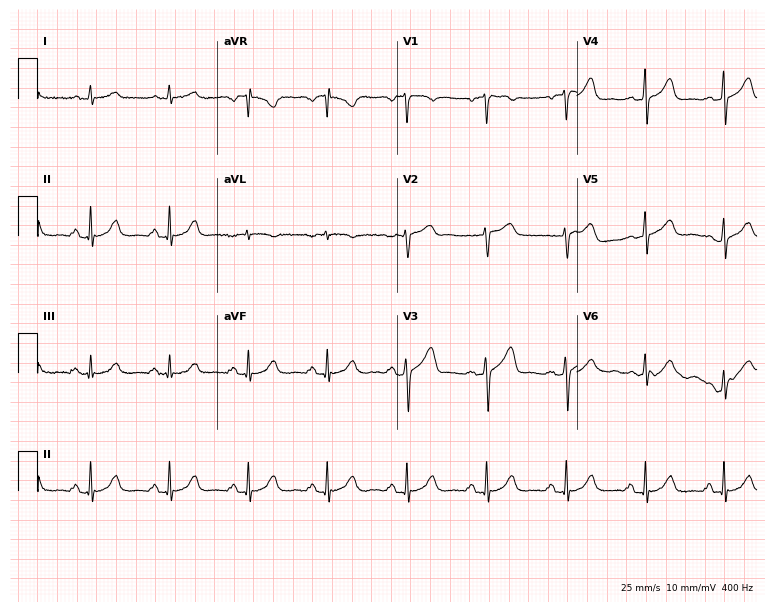
Electrocardiogram, a 56-year-old male. Overall reading on record: normal ECG.